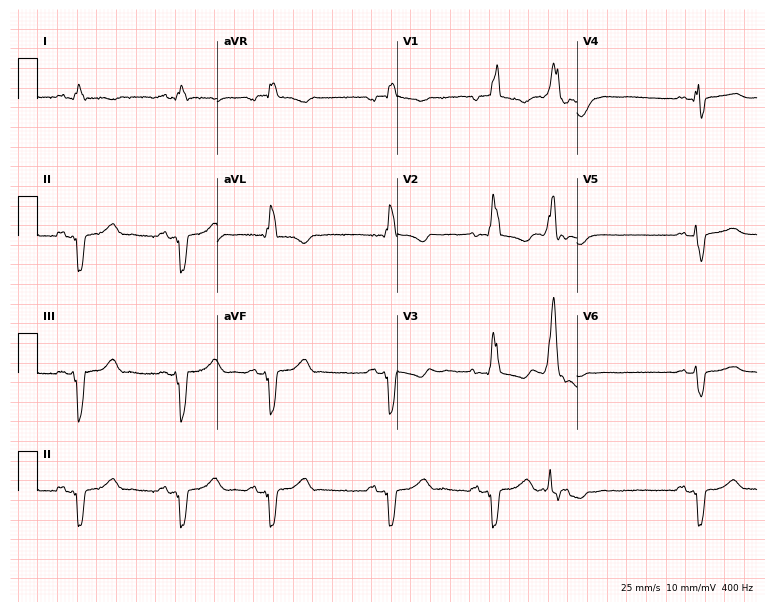
Standard 12-lead ECG recorded from a 55-year-old female (7.3-second recording at 400 Hz). The tracing shows right bundle branch block.